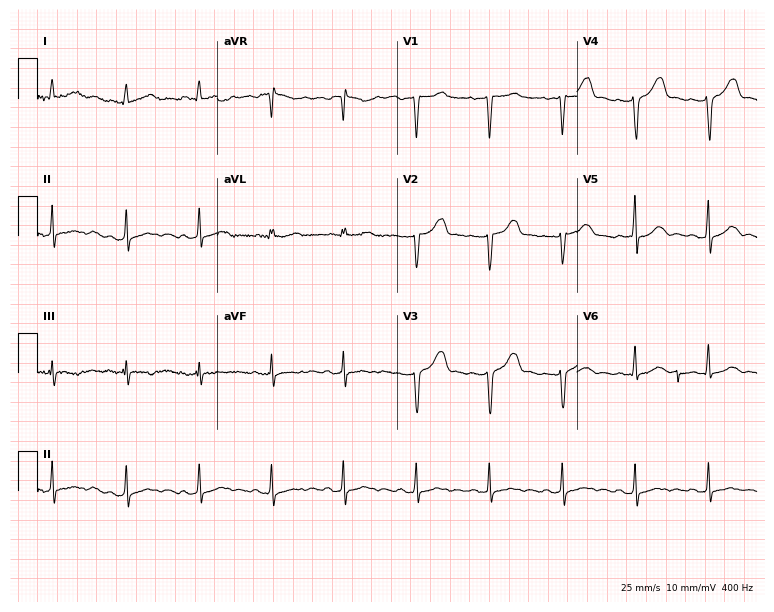
12-lead ECG from a woman, 37 years old (7.3-second recording at 400 Hz). No first-degree AV block, right bundle branch block (RBBB), left bundle branch block (LBBB), sinus bradycardia, atrial fibrillation (AF) or sinus tachycardia recorded for this tracing.